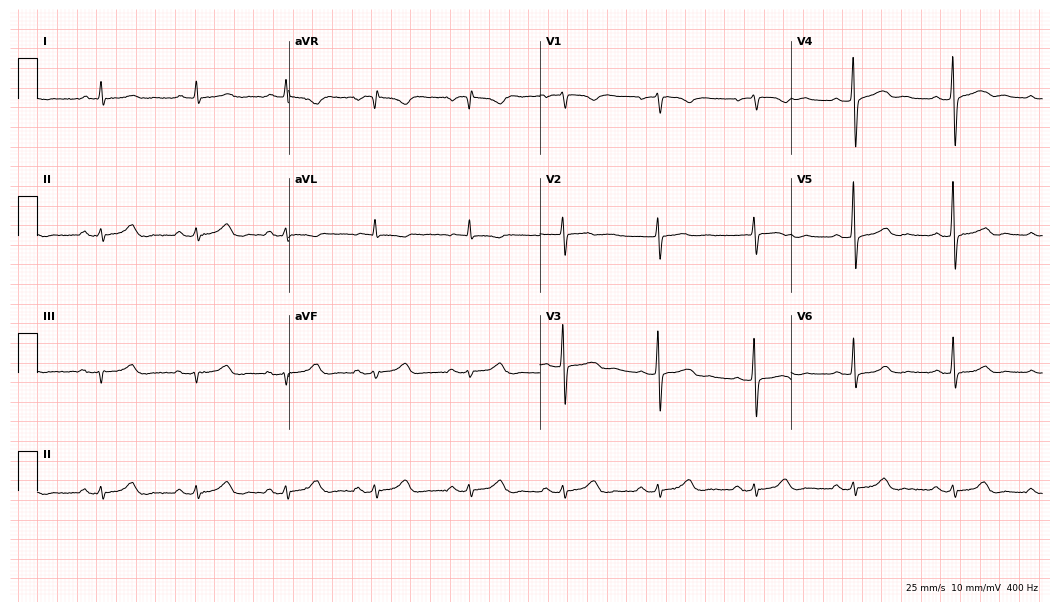
Standard 12-lead ECG recorded from a female, 64 years old. Read as a normal ECG.